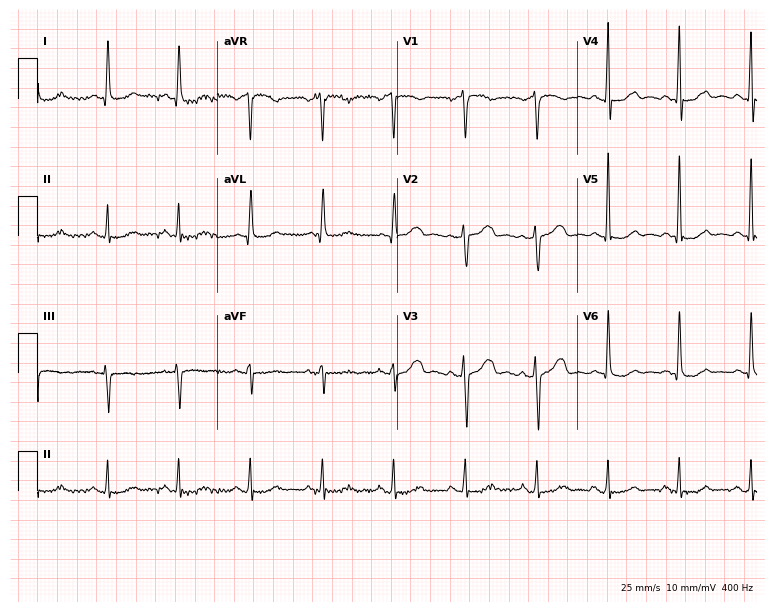
12-lead ECG from a 58-year-old female patient. Labelled as a normal ECG.